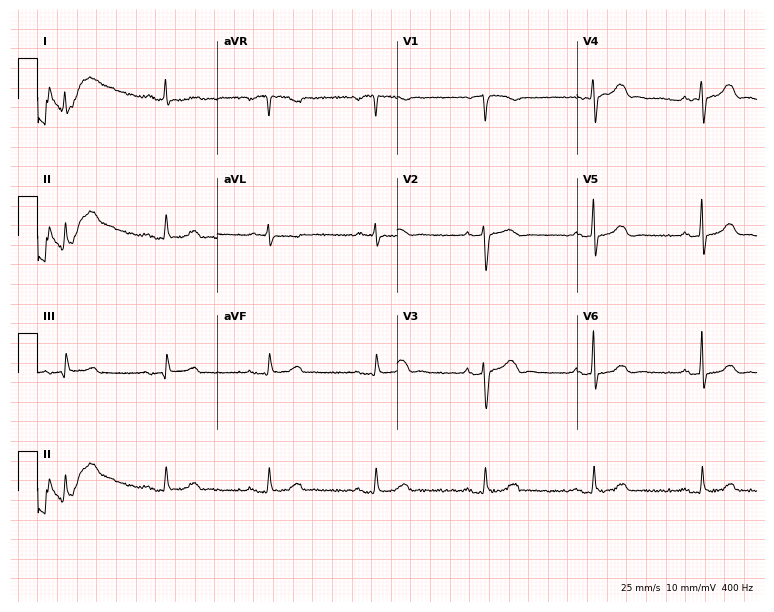
Resting 12-lead electrocardiogram. Patient: a male, 74 years old. None of these six findings is recorded: first-degree AV block, right bundle branch block (RBBB), left bundle branch block (LBBB), sinus bradycardia, atrial fibrillation (AF), sinus tachycardia.